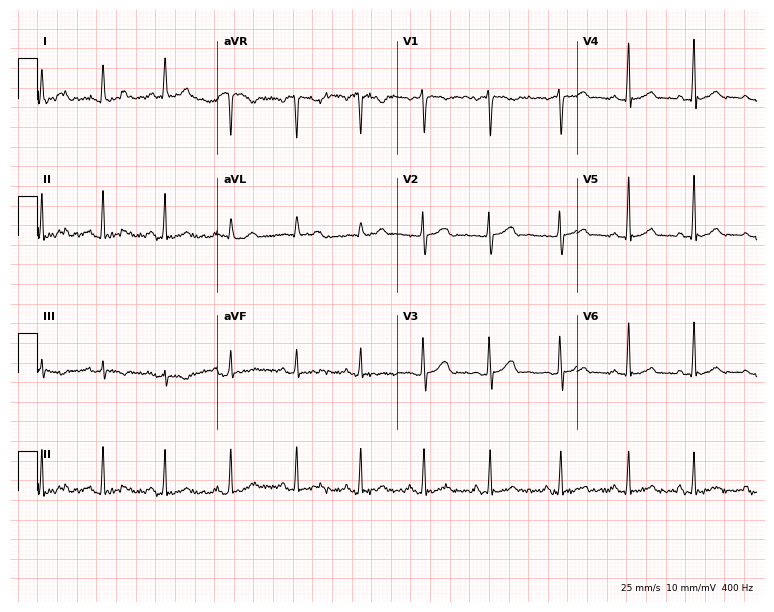
Electrocardiogram (7.3-second recording at 400 Hz), a 35-year-old female. Of the six screened findings (first-degree AV block, right bundle branch block (RBBB), left bundle branch block (LBBB), sinus bradycardia, atrial fibrillation (AF), sinus tachycardia), none is recorded.